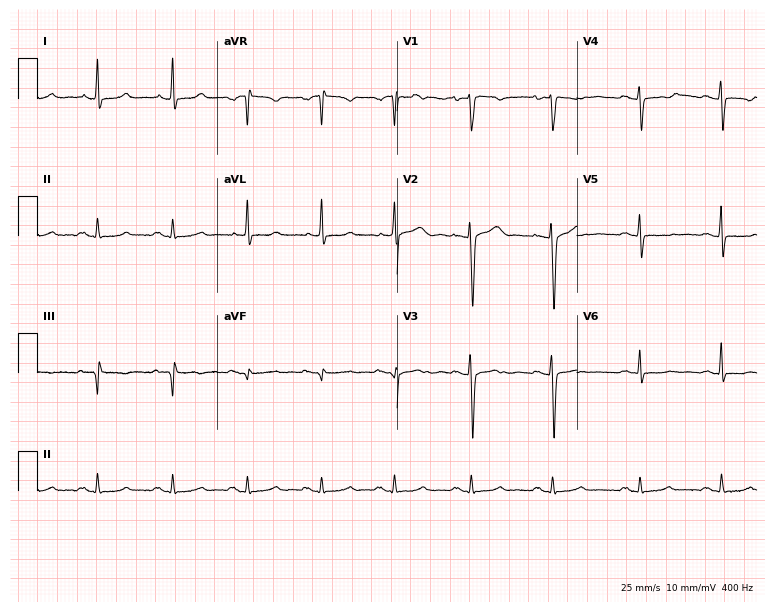
ECG (7.3-second recording at 400 Hz) — a 35-year-old female patient. Screened for six findings — first-degree AV block, right bundle branch block, left bundle branch block, sinus bradycardia, atrial fibrillation, sinus tachycardia — none is recorded. Other findings, if any, are not listed.